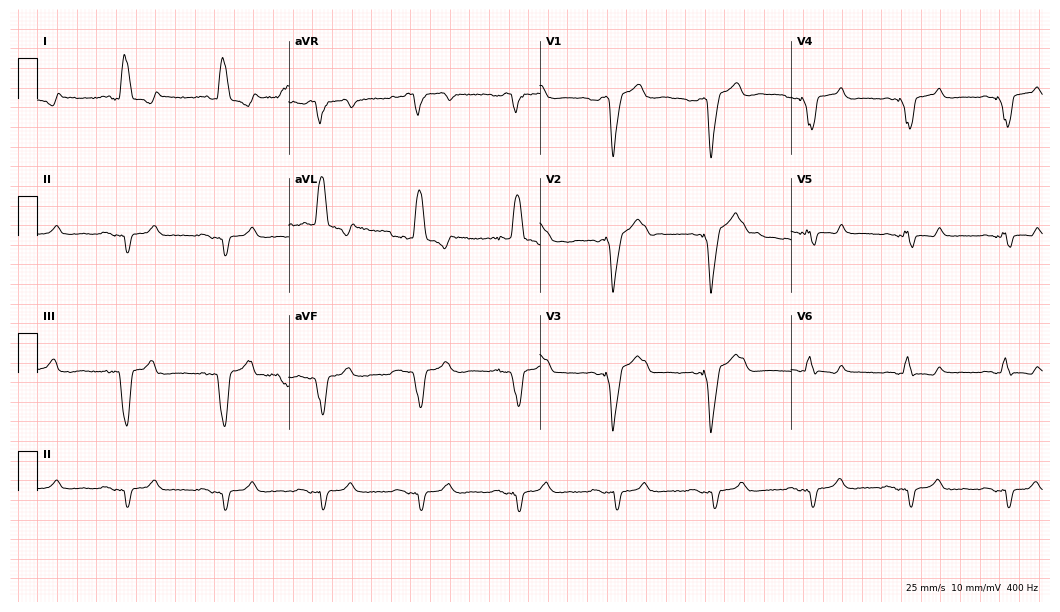
ECG (10.2-second recording at 400 Hz) — a 62-year-old woman. Screened for six findings — first-degree AV block, right bundle branch block (RBBB), left bundle branch block (LBBB), sinus bradycardia, atrial fibrillation (AF), sinus tachycardia — none is recorded.